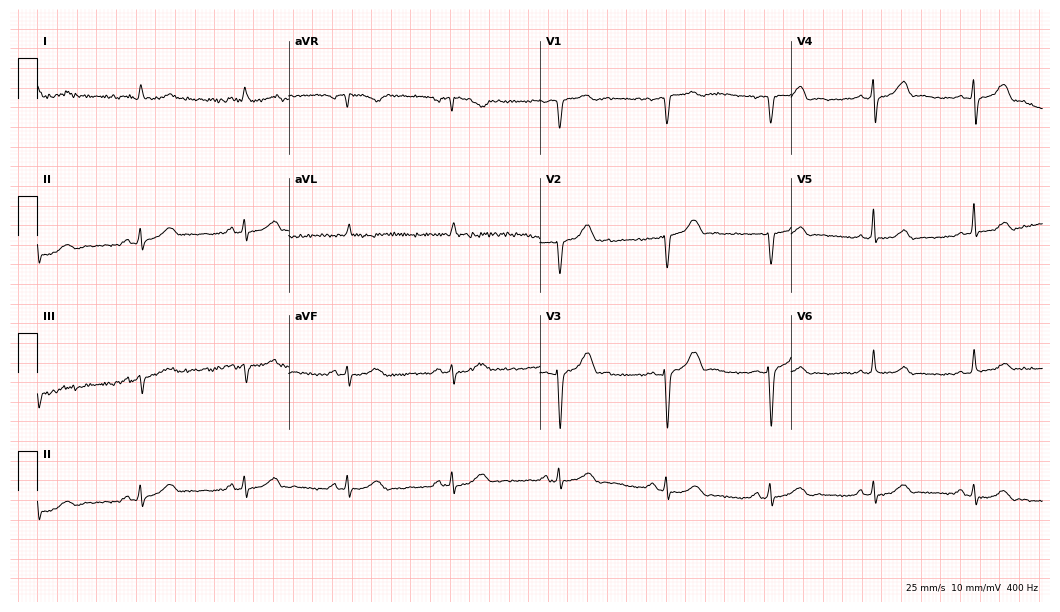
ECG (10.2-second recording at 400 Hz) — a male, 74 years old. Screened for six findings — first-degree AV block, right bundle branch block, left bundle branch block, sinus bradycardia, atrial fibrillation, sinus tachycardia — none is recorded.